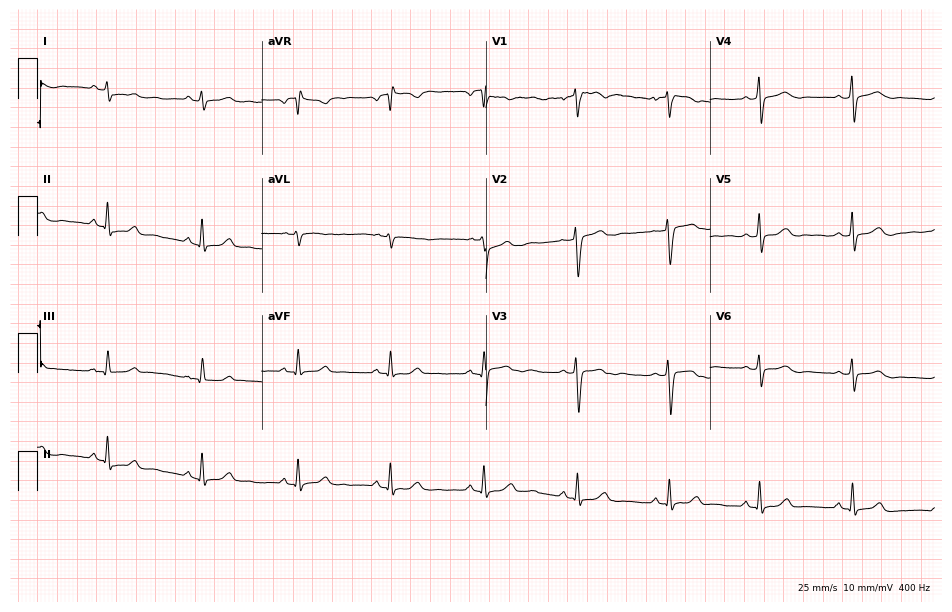
Electrocardiogram (9.1-second recording at 400 Hz), a woman, 35 years old. Overall reading on record: normal ECG.